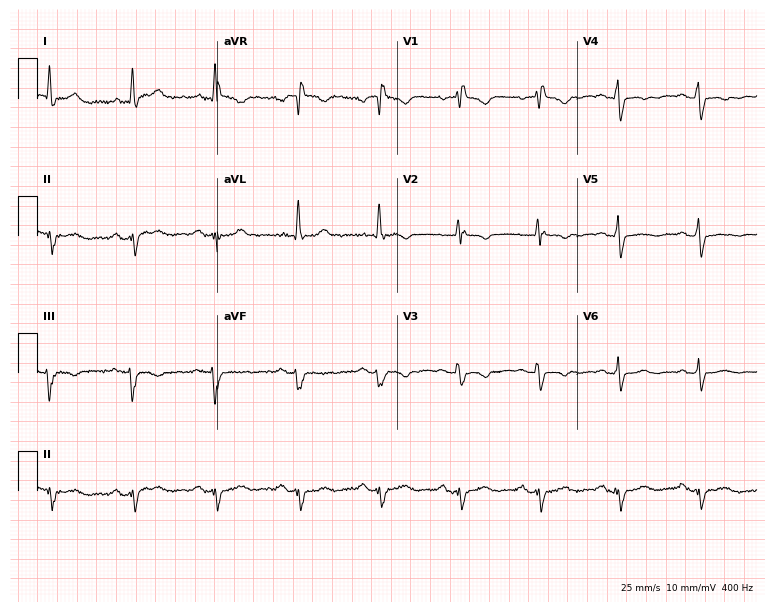
Standard 12-lead ECG recorded from a 58-year-old female patient. None of these six findings is recorded: first-degree AV block, right bundle branch block, left bundle branch block, sinus bradycardia, atrial fibrillation, sinus tachycardia.